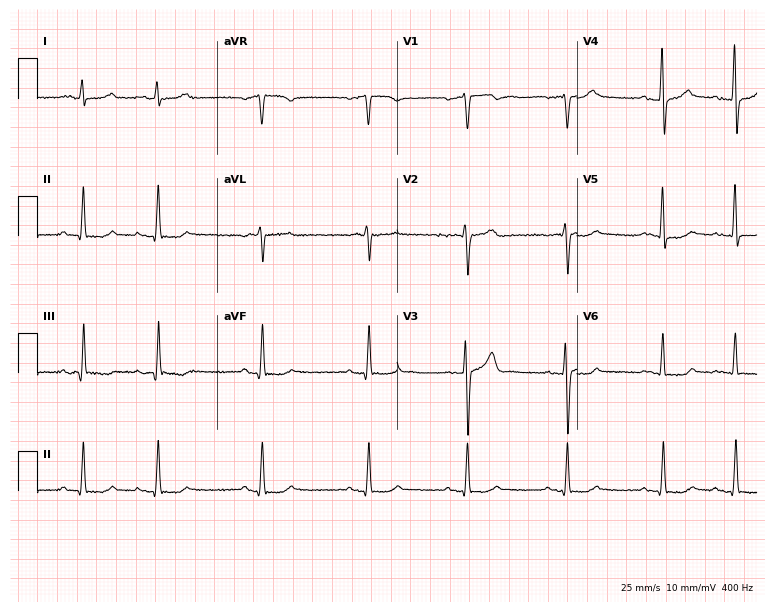
12-lead ECG (7.3-second recording at 400 Hz) from a male, 70 years old. Screened for six findings — first-degree AV block, right bundle branch block, left bundle branch block, sinus bradycardia, atrial fibrillation, sinus tachycardia — none is recorded.